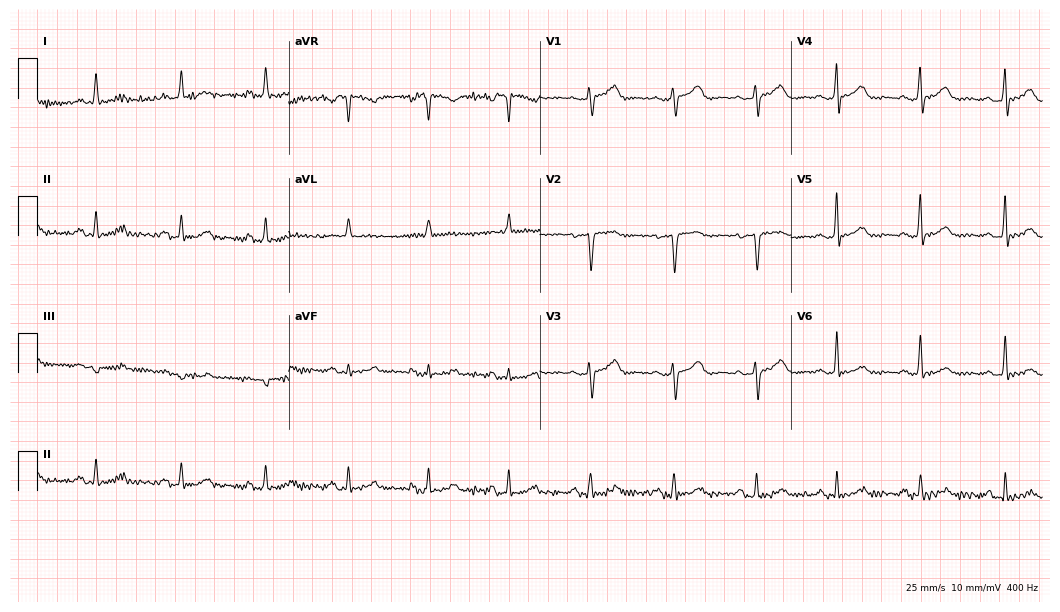
12-lead ECG from a 56-year-old female. Labelled as a normal ECG.